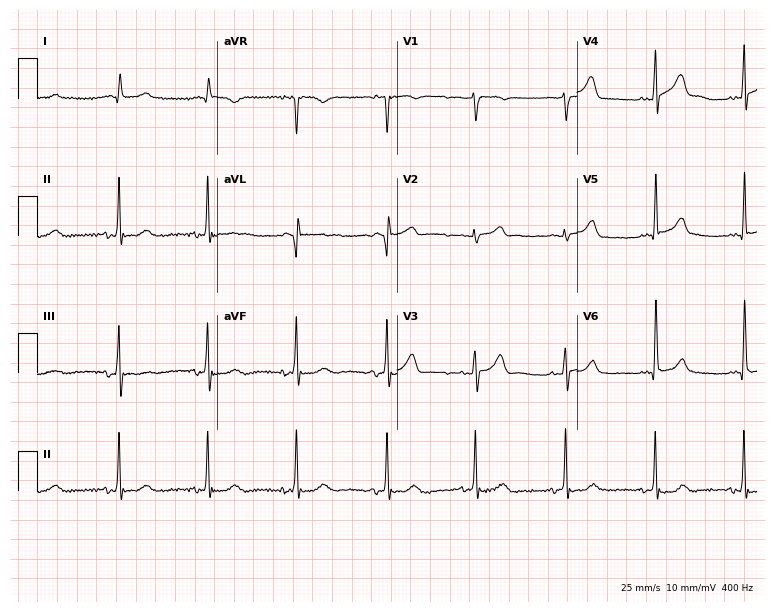
Standard 12-lead ECG recorded from a 70-year-old man (7.3-second recording at 400 Hz). None of these six findings is recorded: first-degree AV block, right bundle branch block (RBBB), left bundle branch block (LBBB), sinus bradycardia, atrial fibrillation (AF), sinus tachycardia. Other findings, if any, are not listed.